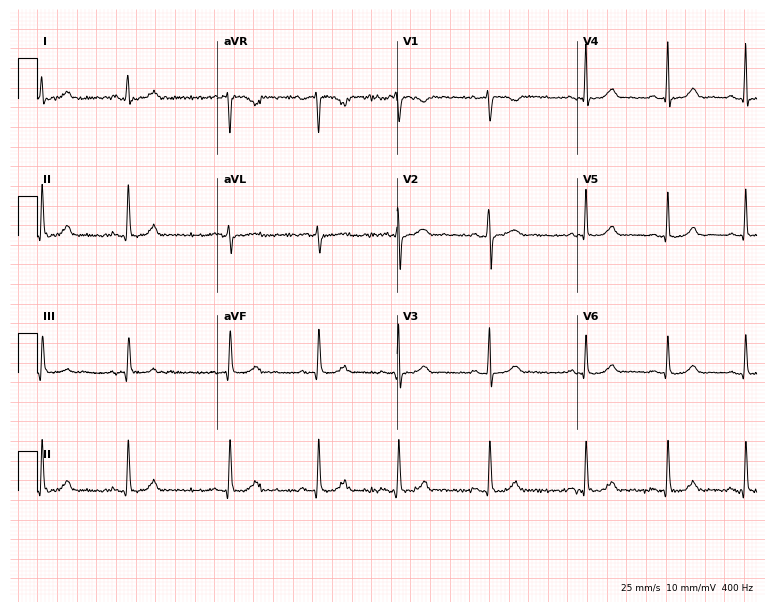
12-lead ECG from a 29-year-old female. Recorded interpretation: within normal limits.